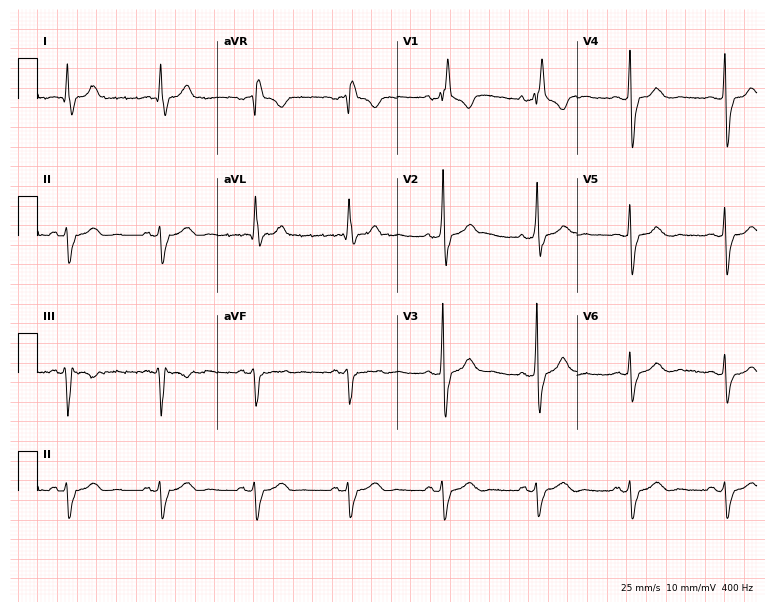
ECG — a 76-year-old male. Findings include right bundle branch block (RBBB).